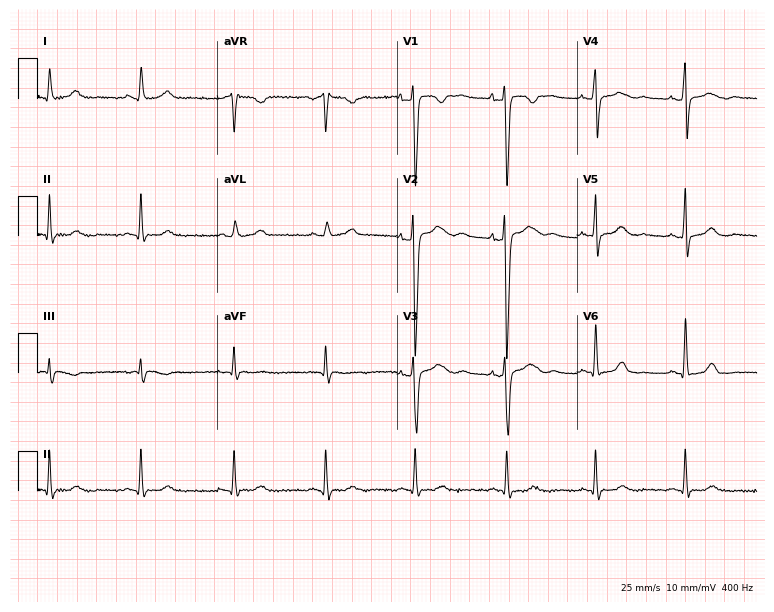
Electrocardiogram, a 20-year-old female. Of the six screened findings (first-degree AV block, right bundle branch block (RBBB), left bundle branch block (LBBB), sinus bradycardia, atrial fibrillation (AF), sinus tachycardia), none is recorded.